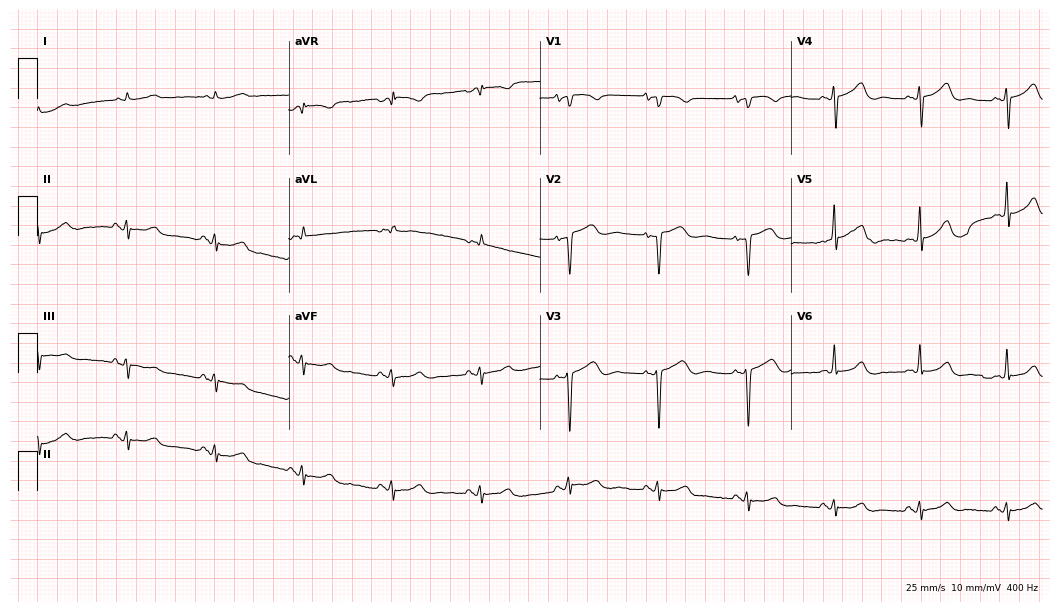
12-lead ECG from a 63-year-old female. No first-degree AV block, right bundle branch block (RBBB), left bundle branch block (LBBB), sinus bradycardia, atrial fibrillation (AF) or sinus tachycardia recorded for this tracing.